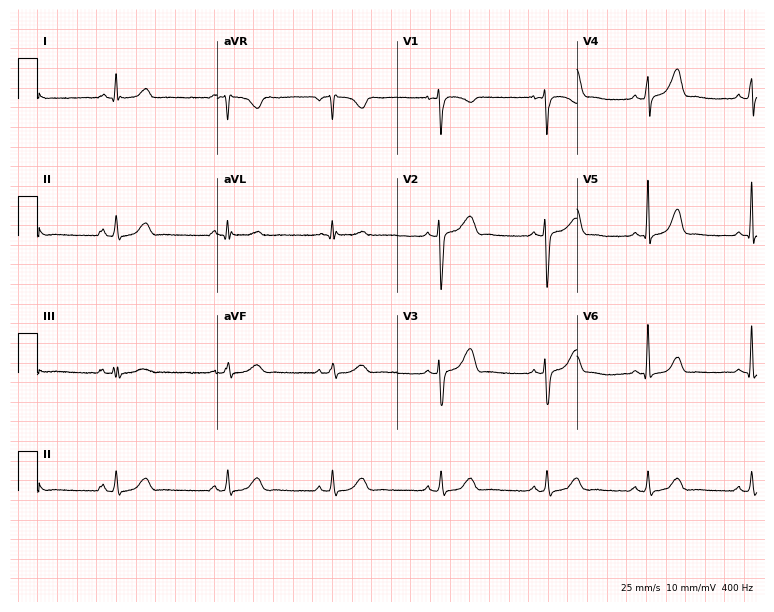
Standard 12-lead ECG recorded from a female patient, 35 years old. Read as a normal ECG.